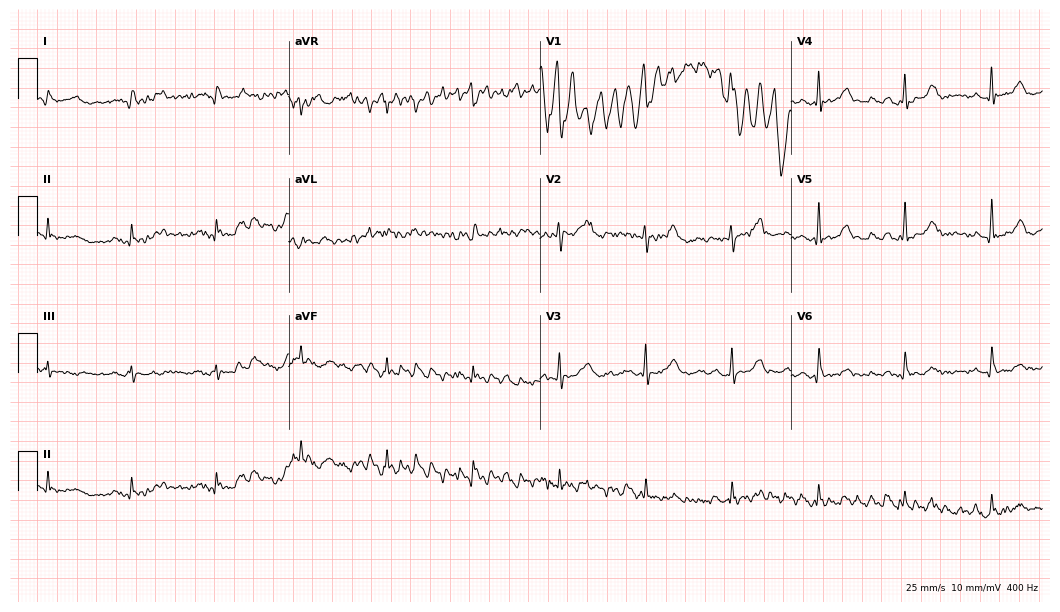
12-lead ECG from a female patient, 76 years old. Screened for six findings — first-degree AV block, right bundle branch block, left bundle branch block, sinus bradycardia, atrial fibrillation, sinus tachycardia — none is recorded. Only these six findings were labelled.